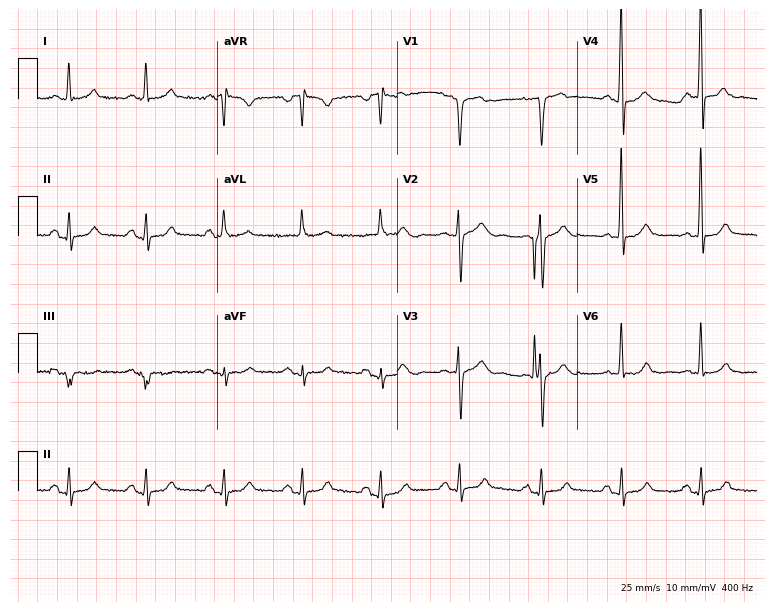
Electrocardiogram, a 54-year-old male patient. Of the six screened findings (first-degree AV block, right bundle branch block, left bundle branch block, sinus bradycardia, atrial fibrillation, sinus tachycardia), none is recorded. Findings outside these six are not listed.